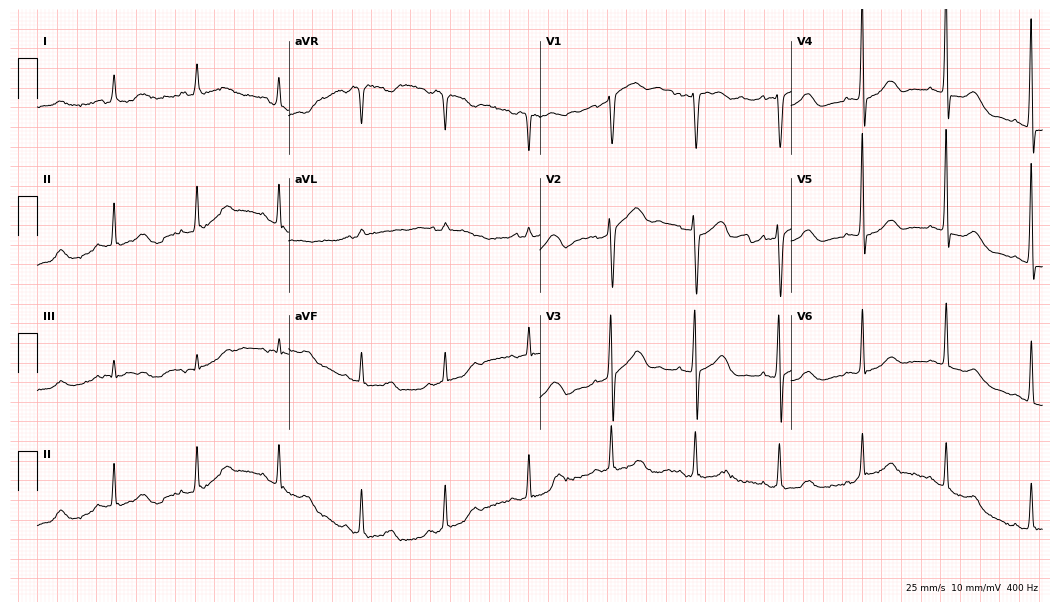
12-lead ECG from an 81-year-old woman (10.2-second recording at 400 Hz). No first-degree AV block, right bundle branch block, left bundle branch block, sinus bradycardia, atrial fibrillation or sinus tachycardia recorded for this tracing.